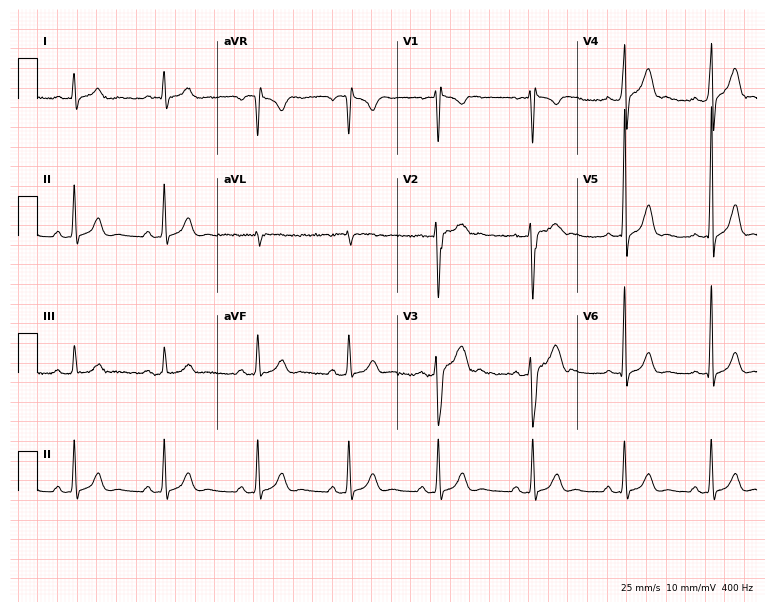
ECG — a 38-year-old male. Labelled as a normal ECG.